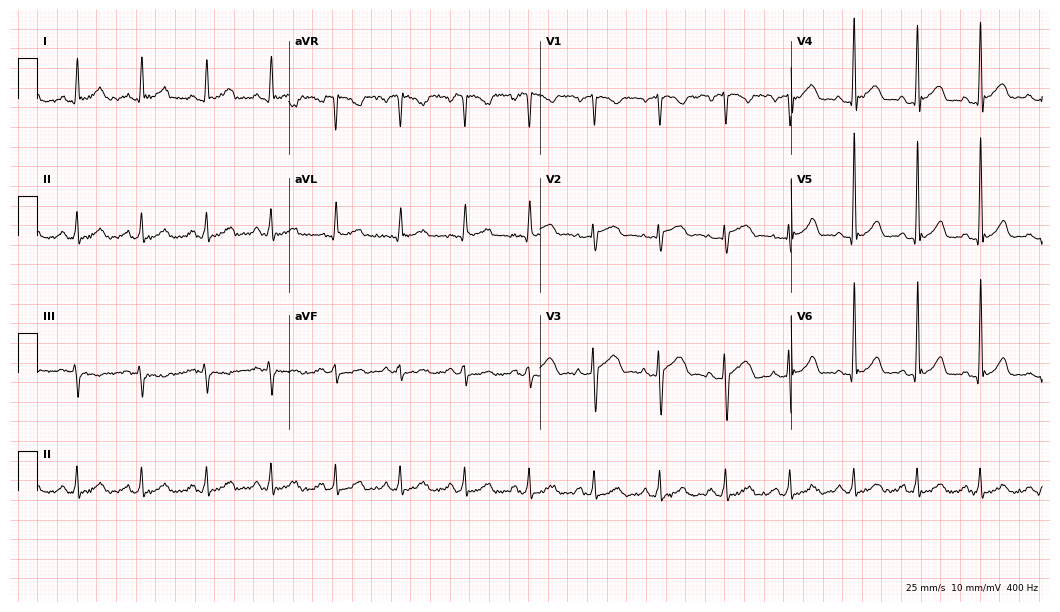
12-lead ECG from a 60-year-old man (10.2-second recording at 400 Hz). Recorded interpretation: within normal limits.